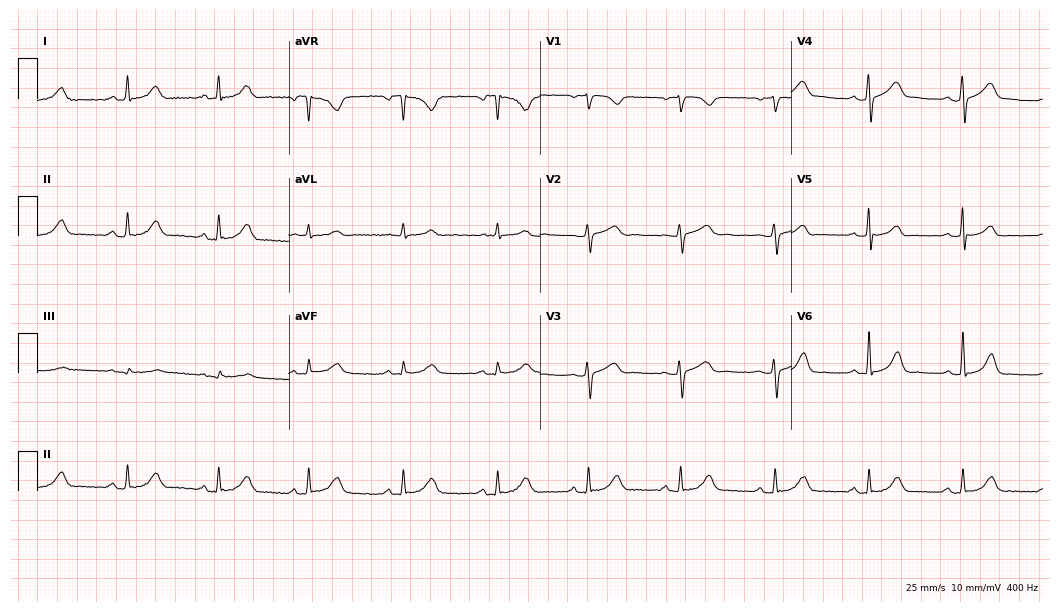
12-lead ECG (10.2-second recording at 400 Hz) from a 62-year-old woman. Labelled as a normal ECG.